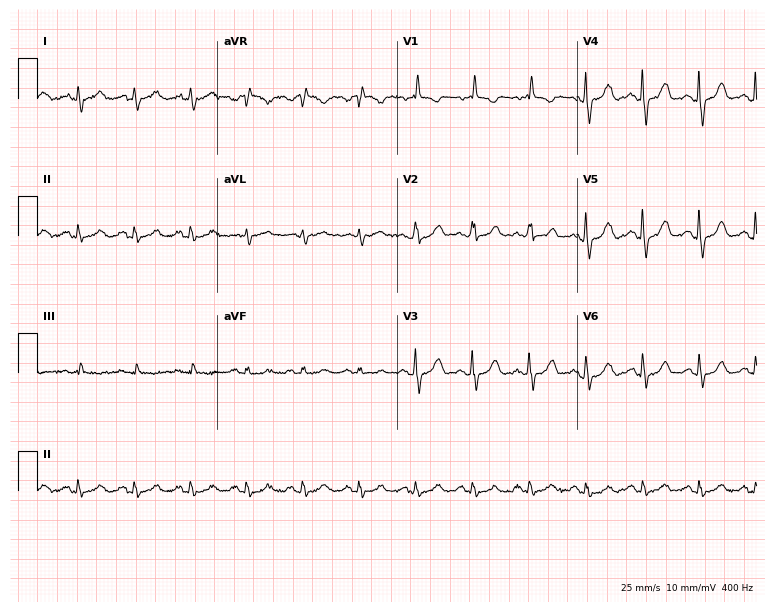
Resting 12-lead electrocardiogram (7.3-second recording at 400 Hz). Patient: a male, 62 years old. None of these six findings is recorded: first-degree AV block, right bundle branch block (RBBB), left bundle branch block (LBBB), sinus bradycardia, atrial fibrillation (AF), sinus tachycardia. Only these six findings were labelled.